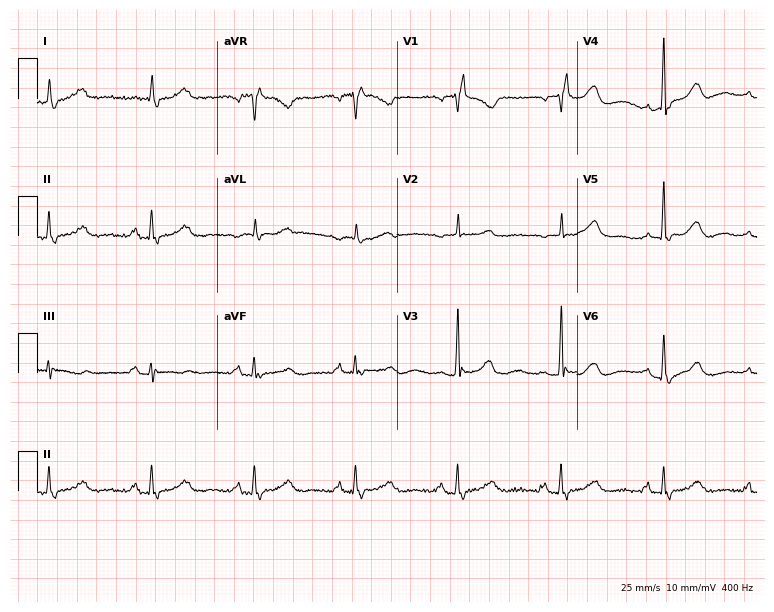
12-lead ECG (7.3-second recording at 400 Hz) from an 80-year-old female. Findings include right bundle branch block.